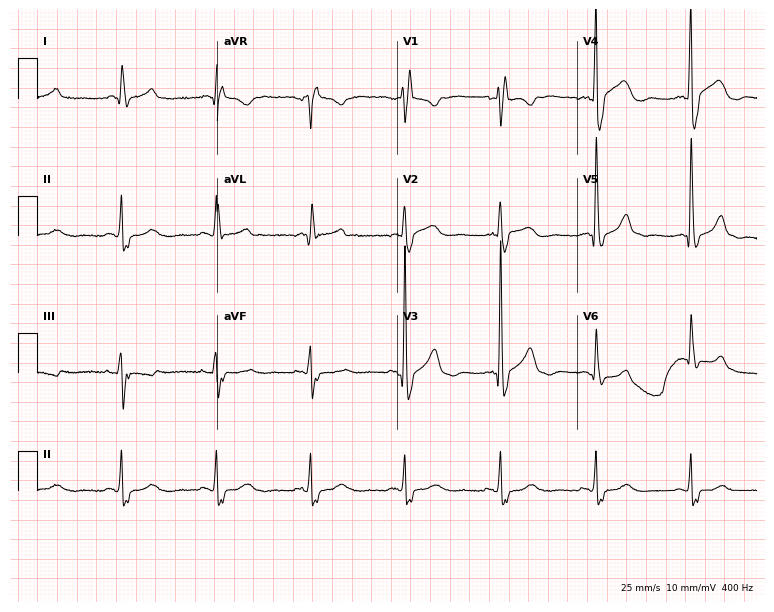
Standard 12-lead ECG recorded from a male, 83 years old (7.3-second recording at 400 Hz). The tracing shows right bundle branch block.